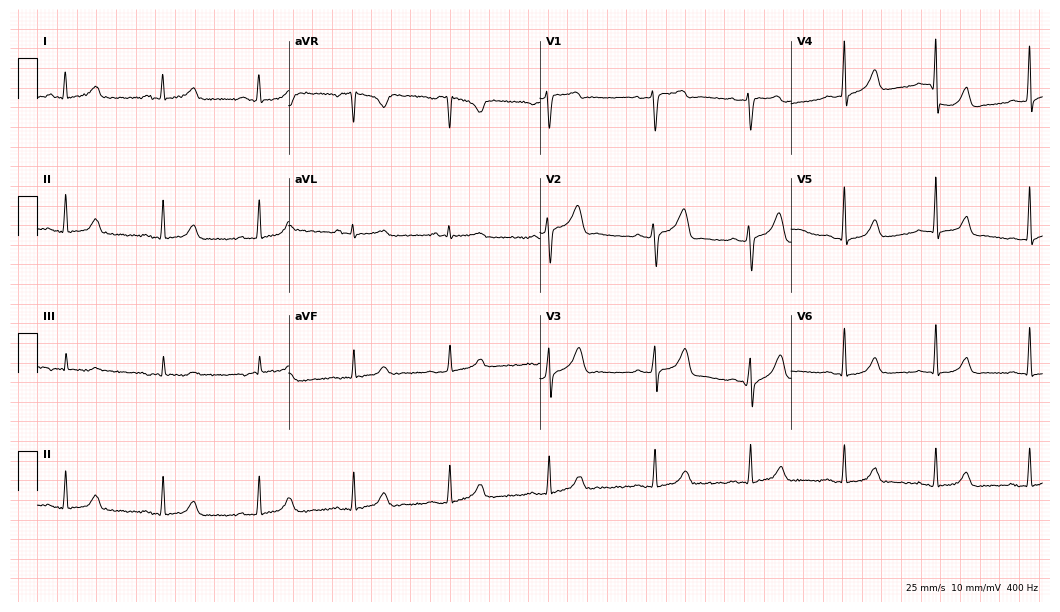
Resting 12-lead electrocardiogram. Patient: a 53-year-old woman. Read as a normal ECG.